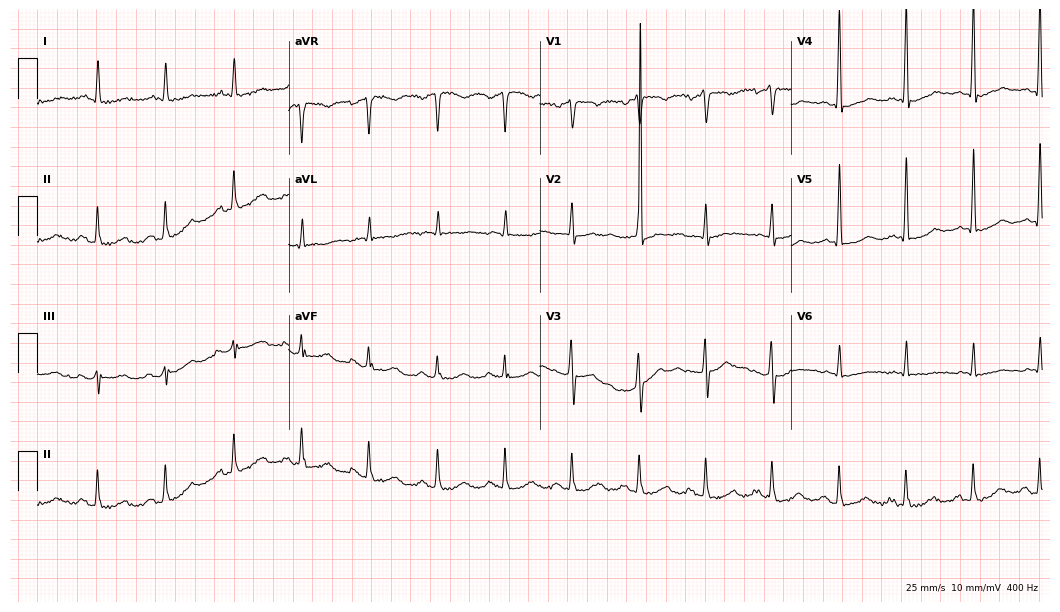
12-lead ECG from a male patient, 81 years old. No first-degree AV block, right bundle branch block, left bundle branch block, sinus bradycardia, atrial fibrillation or sinus tachycardia recorded for this tracing.